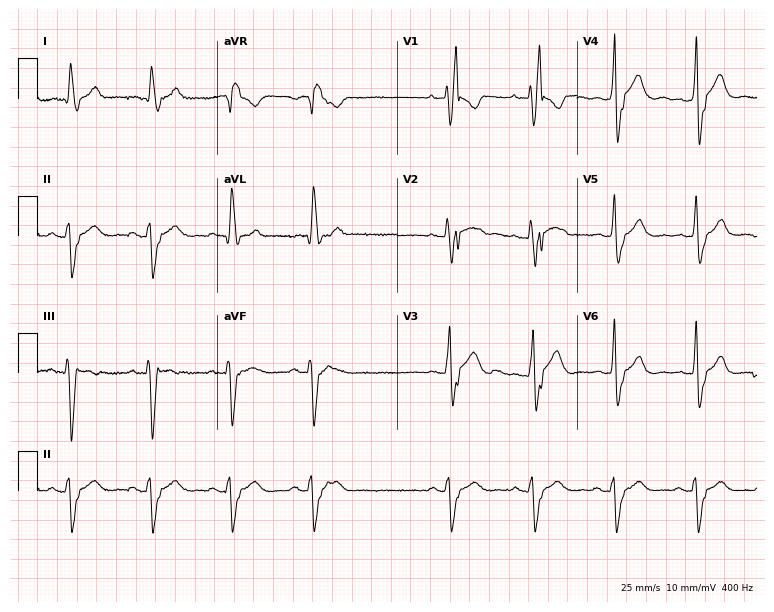
12-lead ECG from a 63-year-old woman (7.3-second recording at 400 Hz). Shows right bundle branch block (RBBB).